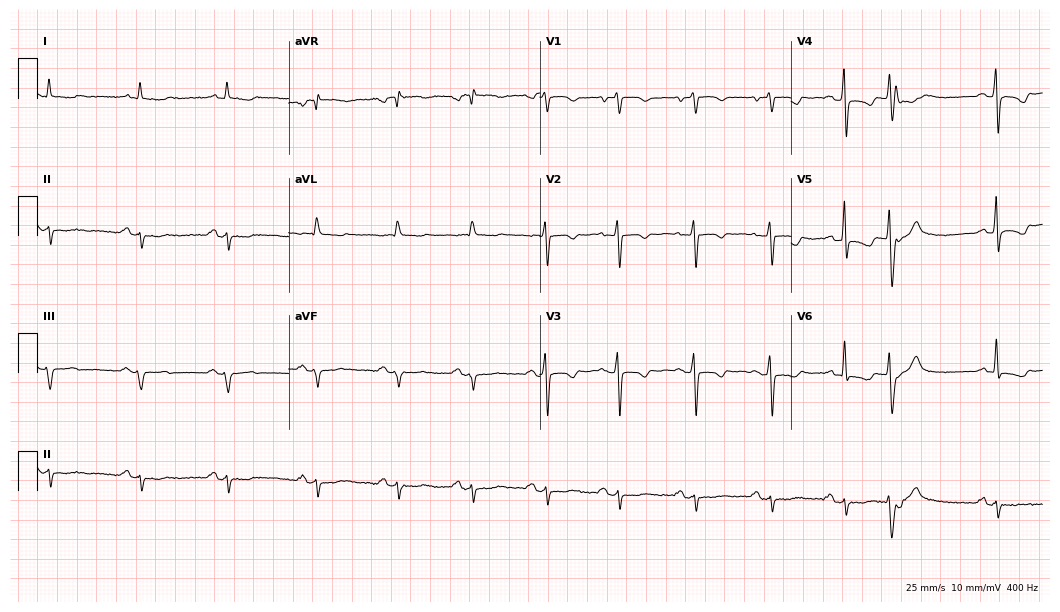
Resting 12-lead electrocardiogram (10.2-second recording at 400 Hz). Patient: a female, 78 years old. None of these six findings is recorded: first-degree AV block, right bundle branch block, left bundle branch block, sinus bradycardia, atrial fibrillation, sinus tachycardia. Other findings, if any, are not listed.